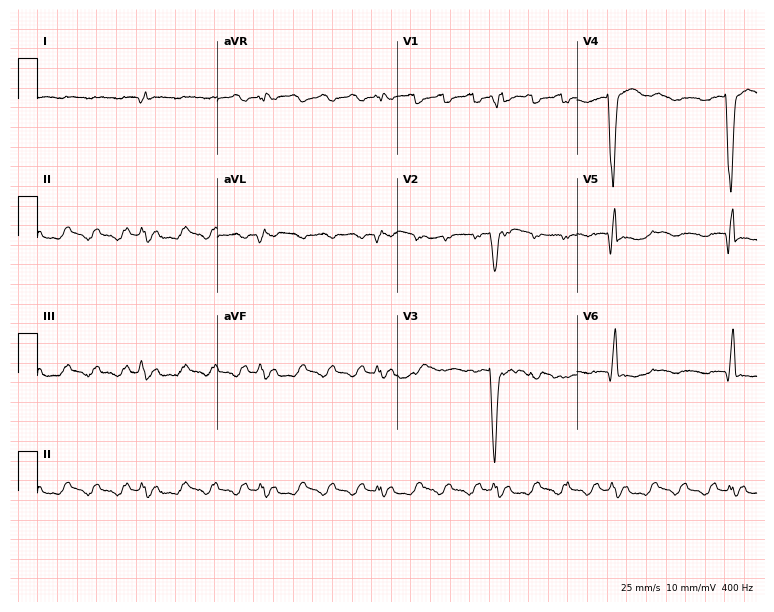
ECG (7.3-second recording at 400 Hz) — a 46-year-old male. Screened for six findings — first-degree AV block, right bundle branch block (RBBB), left bundle branch block (LBBB), sinus bradycardia, atrial fibrillation (AF), sinus tachycardia — none is recorded.